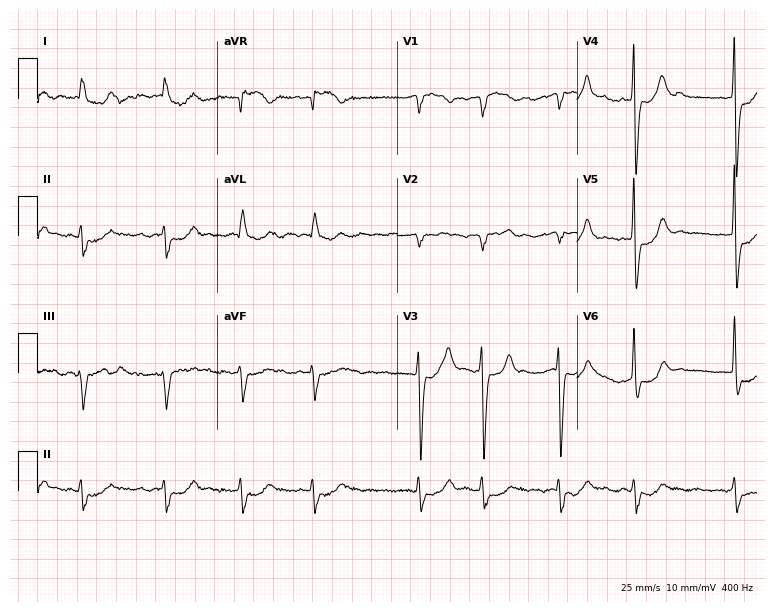
Standard 12-lead ECG recorded from a male patient, 68 years old (7.3-second recording at 400 Hz). The tracing shows atrial fibrillation (AF).